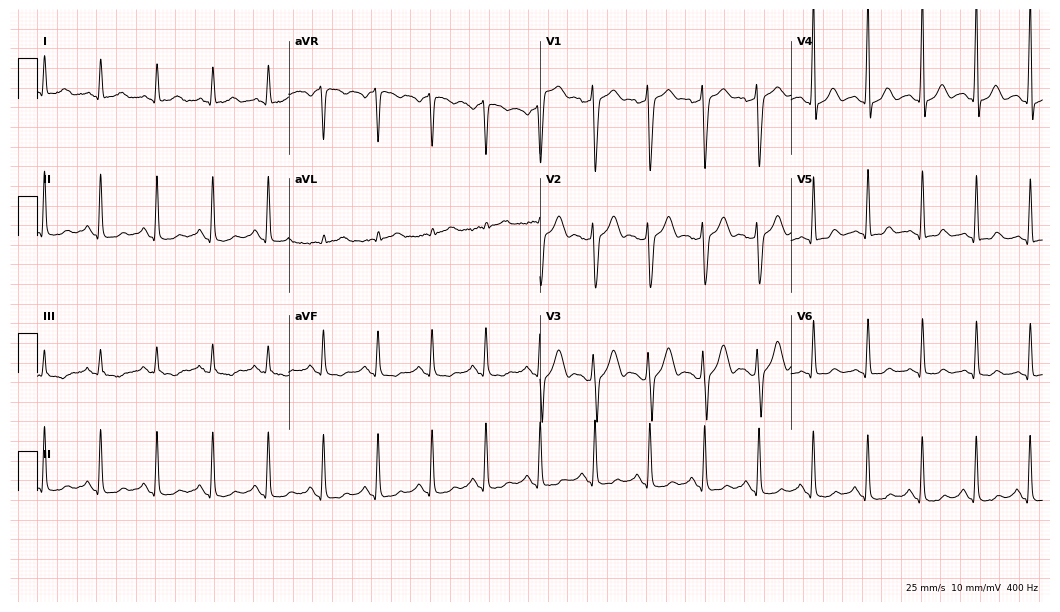
12-lead ECG from a male patient, 39 years old (10.2-second recording at 400 Hz). Shows sinus tachycardia (a sinus rate of 100 beats per minute or more).